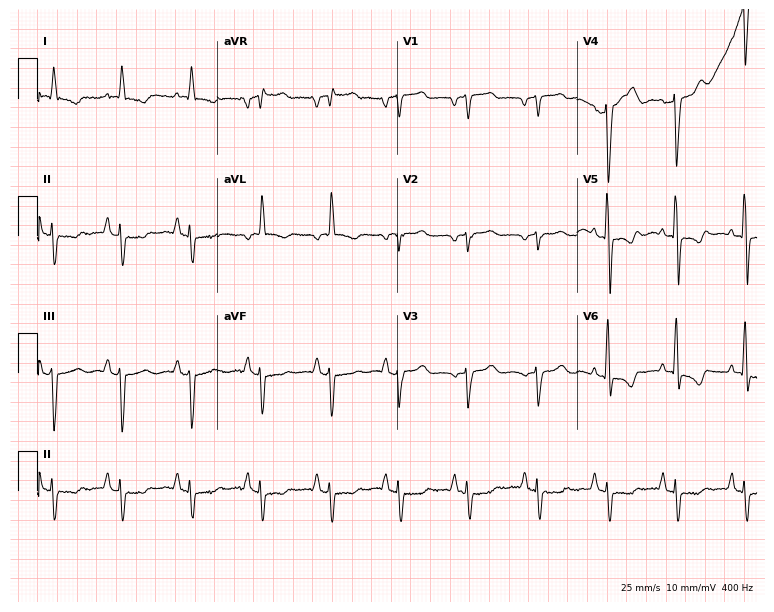
12-lead ECG from a male patient, 70 years old. Labelled as a normal ECG.